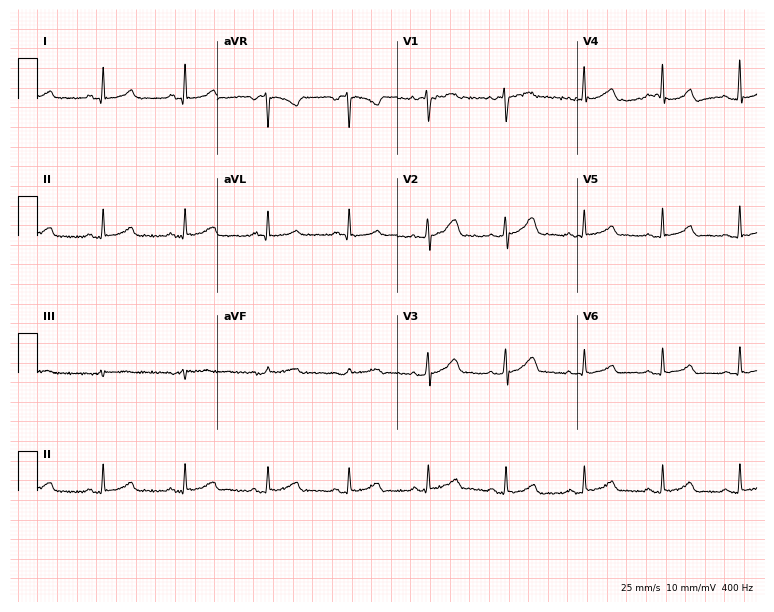
Electrocardiogram, a 34-year-old woman. Overall reading on record: normal ECG.